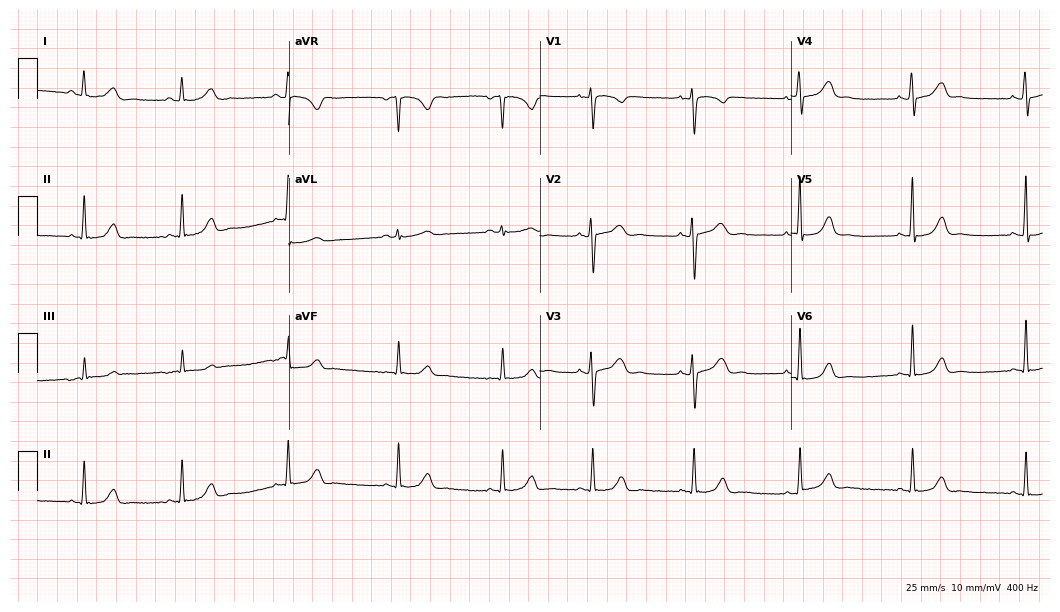
12-lead ECG from a woman, 34 years old. Screened for six findings — first-degree AV block, right bundle branch block, left bundle branch block, sinus bradycardia, atrial fibrillation, sinus tachycardia — none is recorded.